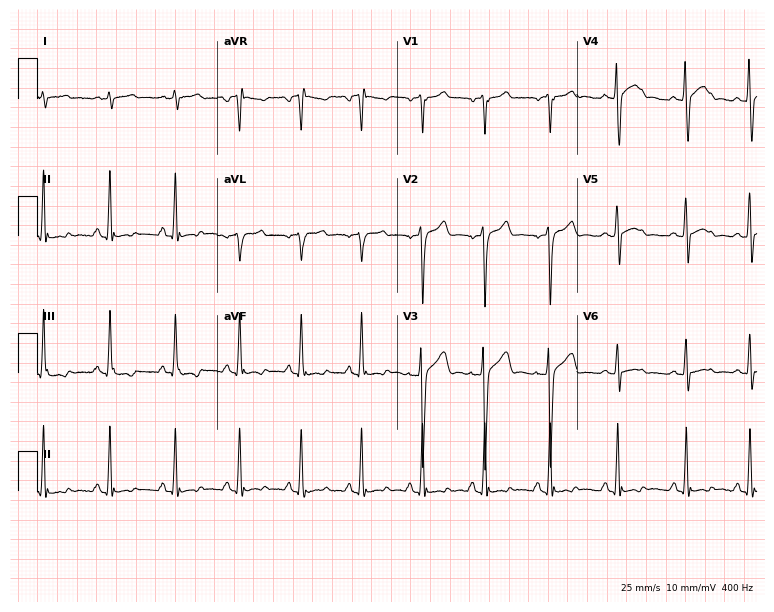
12-lead ECG from a 19-year-old man (7.3-second recording at 400 Hz). No first-degree AV block, right bundle branch block, left bundle branch block, sinus bradycardia, atrial fibrillation or sinus tachycardia recorded for this tracing. Findings outside these six are not listed.